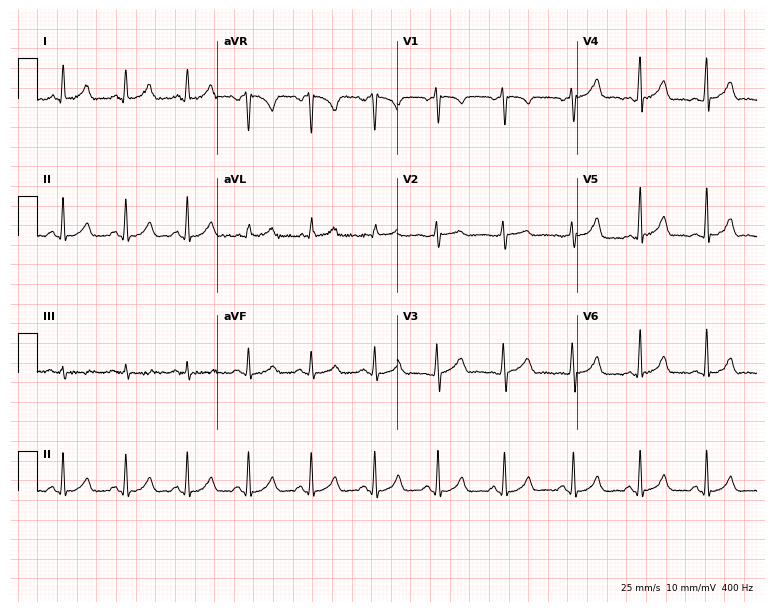
12-lead ECG (7.3-second recording at 400 Hz) from a female patient, 25 years old. Labelled as a normal ECG.